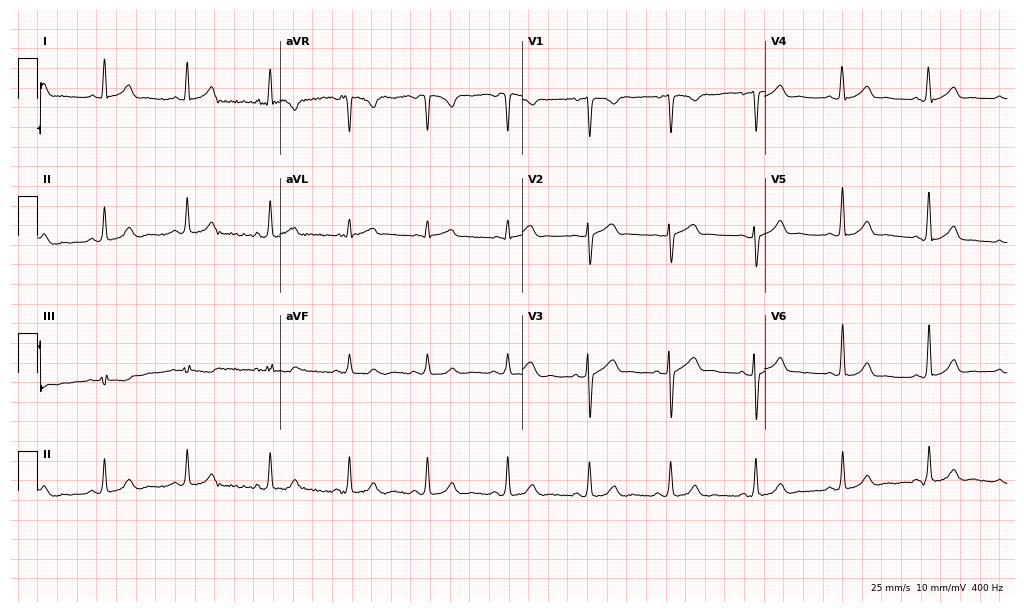
12-lead ECG (9.9-second recording at 400 Hz) from a male patient, 28 years old. Labelled as a normal ECG.